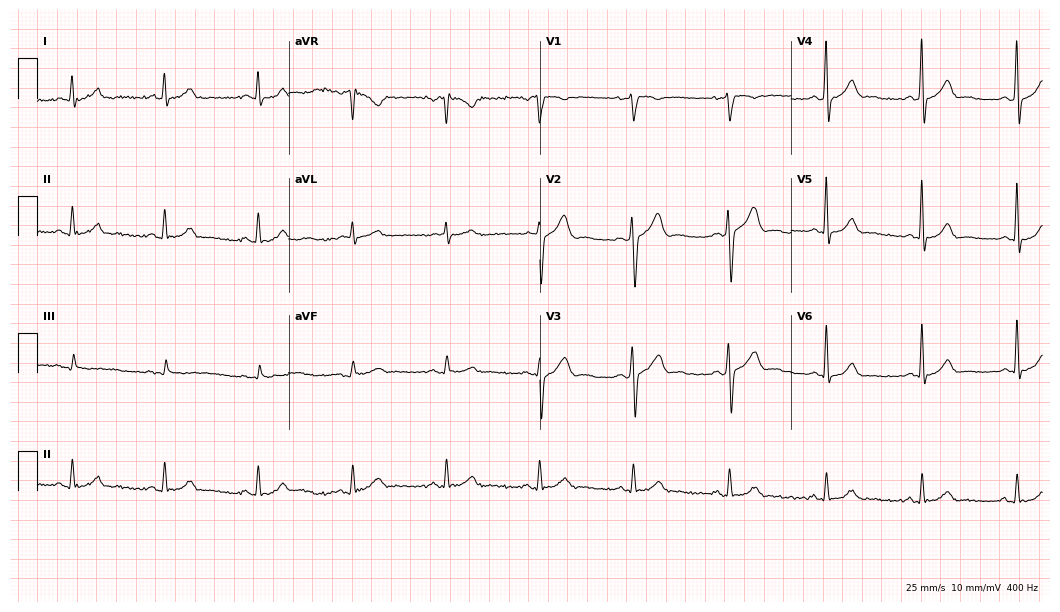
Resting 12-lead electrocardiogram (10.2-second recording at 400 Hz). Patient: a male, 55 years old. Read as a normal ECG.